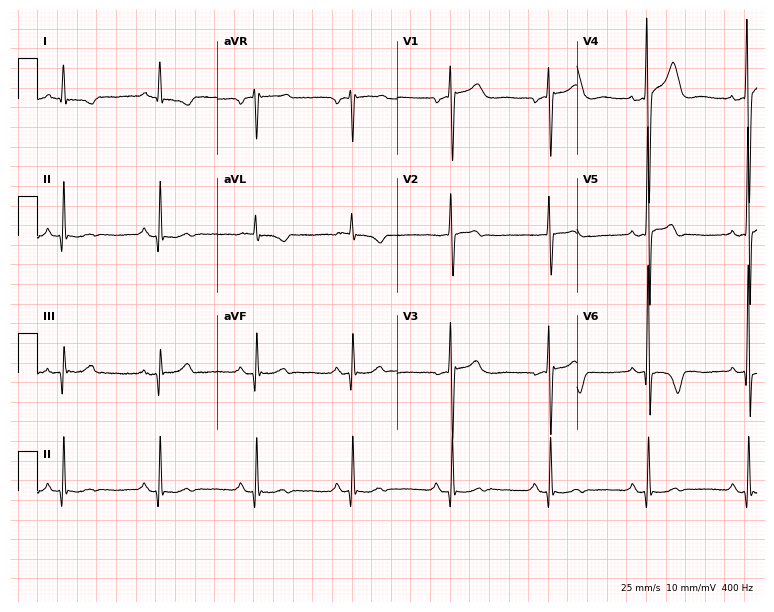
12-lead ECG (7.3-second recording at 400 Hz) from a man, 54 years old. Screened for six findings — first-degree AV block, right bundle branch block, left bundle branch block, sinus bradycardia, atrial fibrillation, sinus tachycardia — none is recorded.